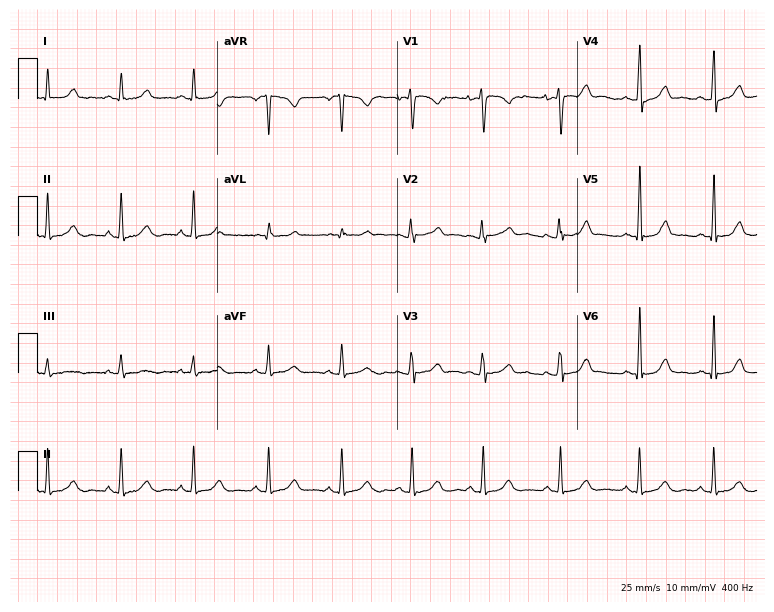
ECG (7.3-second recording at 400 Hz) — a female, 28 years old. Labelled as a normal ECG.